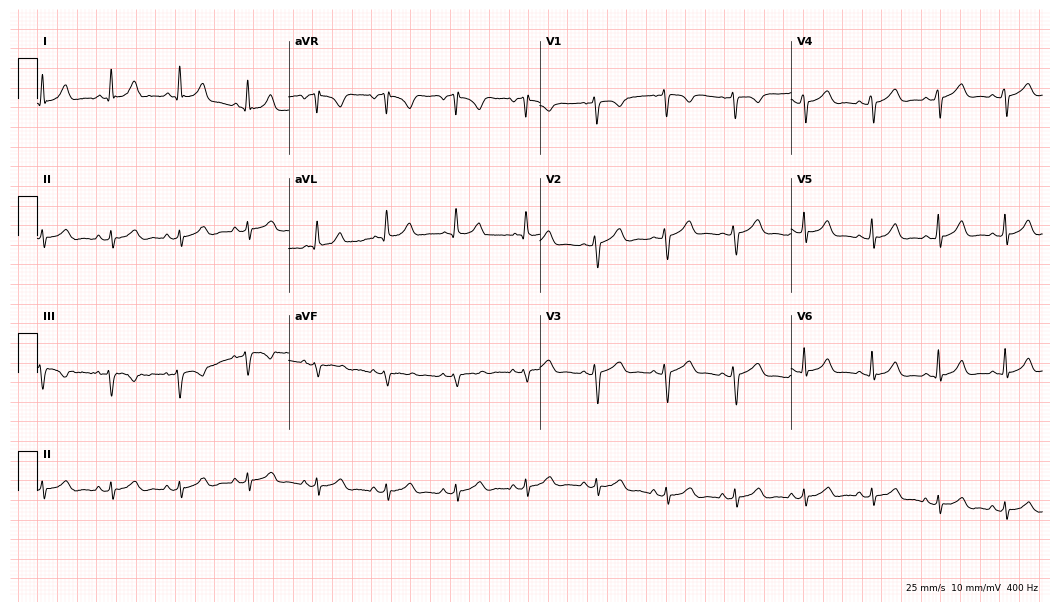
12-lead ECG from a 21-year-old female. Labelled as a normal ECG.